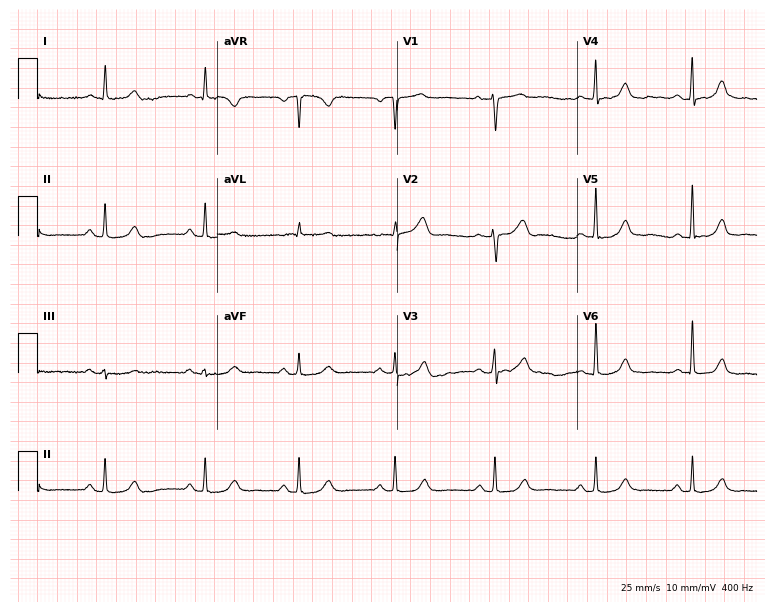
Resting 12-lead electrocardiogram. Patient: a 65-year-old woman. Read as a normal ECG.